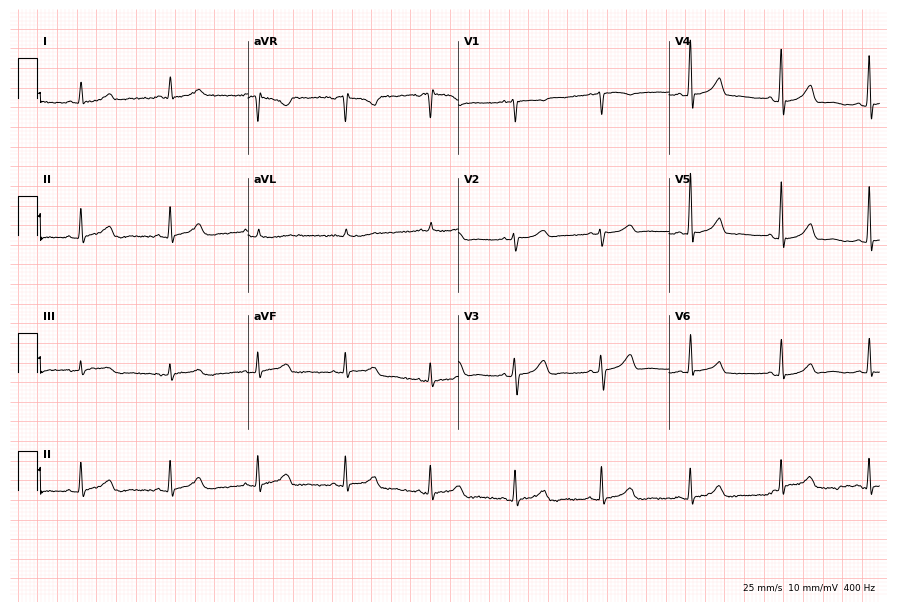
ECG (8.6-second recording at 400 Hz) — a 69-year-old female patient. Labelled as a normal ECG.